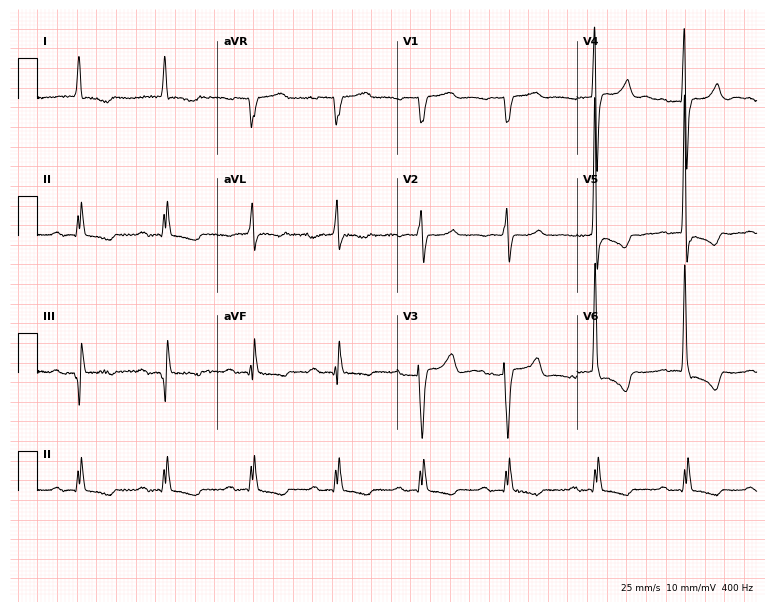
Electrocardiogram (7.3-second recording at 400 Hz), an 85-year-old male patient. Of the six screened findings (first-degree AV block, right bundle branch block (RBBB), left bundle branch block (LBBB), sinus bradycardia, atrial fibrillation (AF), sinus tachycardia), none is recorded. Other findings, if any, are not listed.